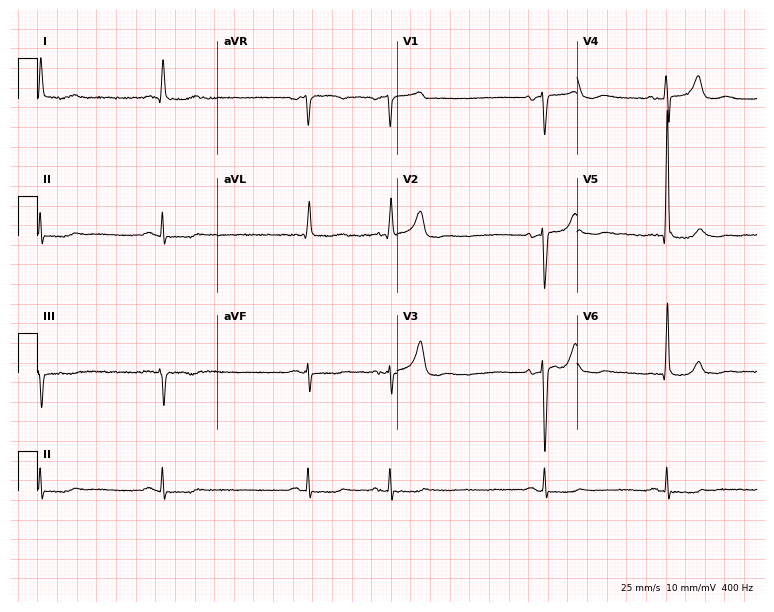
12-lead ECG from a man, 81 years old. Shows sinus bradycardia (a sinus rate of 50 beats per minute or less).